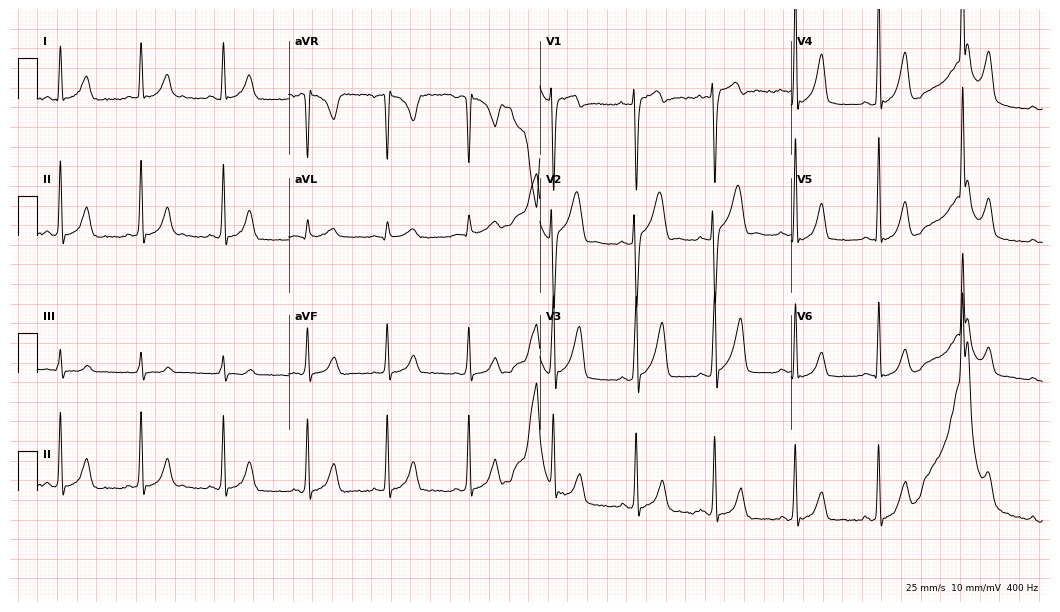
12-lead ECG from a male patient, 20 years old. Recorded interpretation: within normal limits.